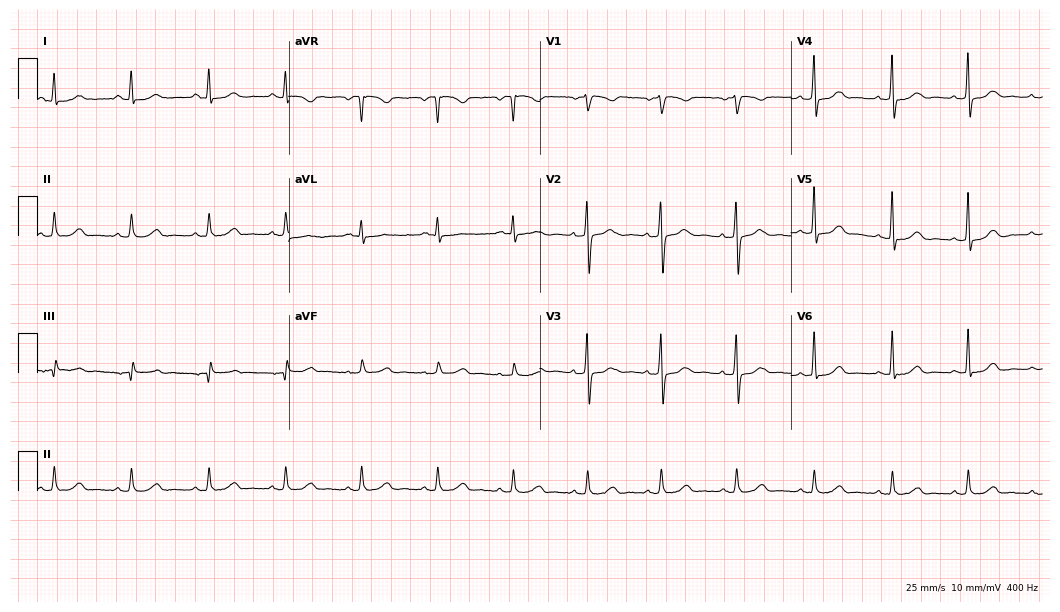
Standard 12-lead ECG recorded from a woman, 50 years old. None of these six findings is recorded: first-degree AV block, right bundle branch block, left bundle branch block, sinus bradycardia, atrial fibrillation, sinus tachycardia. Only these six findings were labelled.